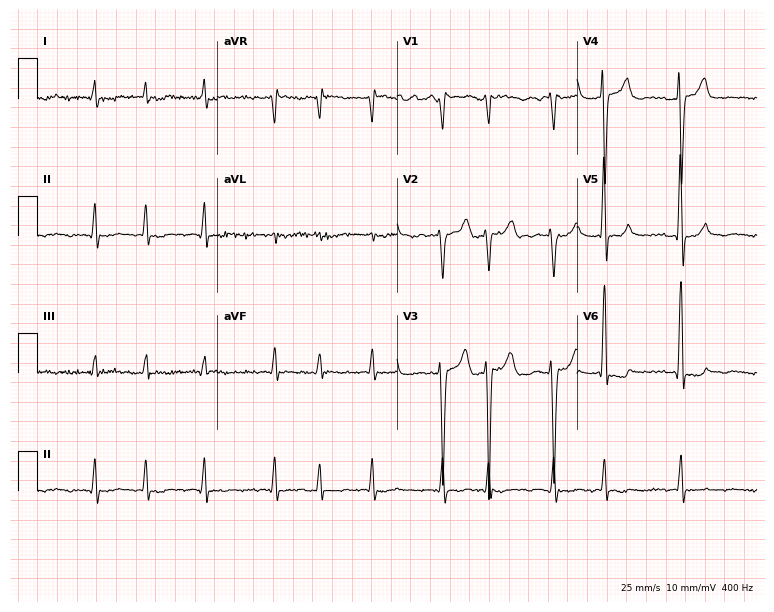
12-lead ECG from a 59-year-old man. Shows atrial fibrillation.